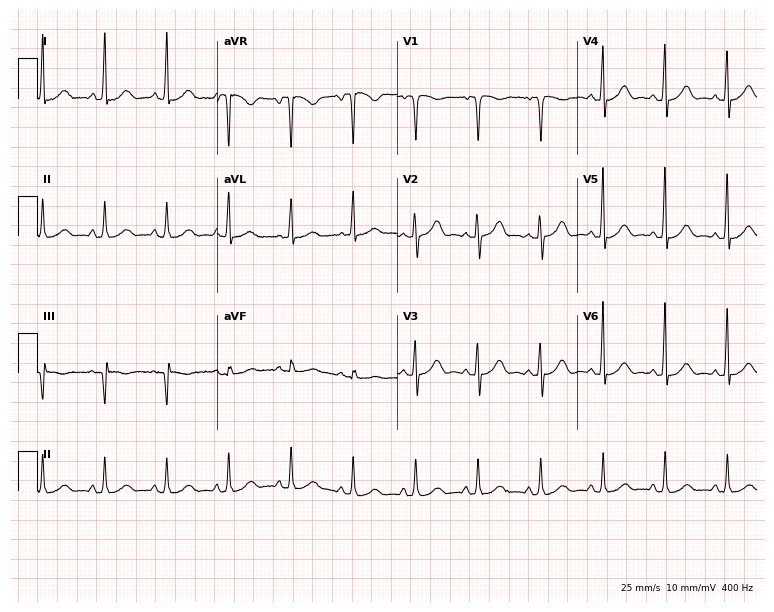
Electrocardiogram, a female, 66 years old. Overall reading on record: normal ECG.